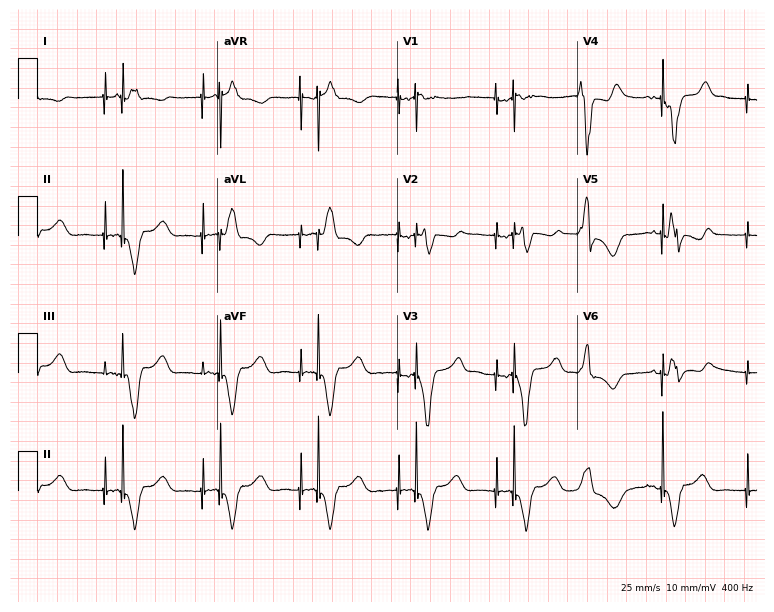
12-lead ECG from a 57-year-old female. No first-degree AV block, right bundle branch block (RBBB), left bundle branch block (LBBB), sinus bradycardia, atrial fibrillation (AF) or sinus tachycardia recorded for this tracing.